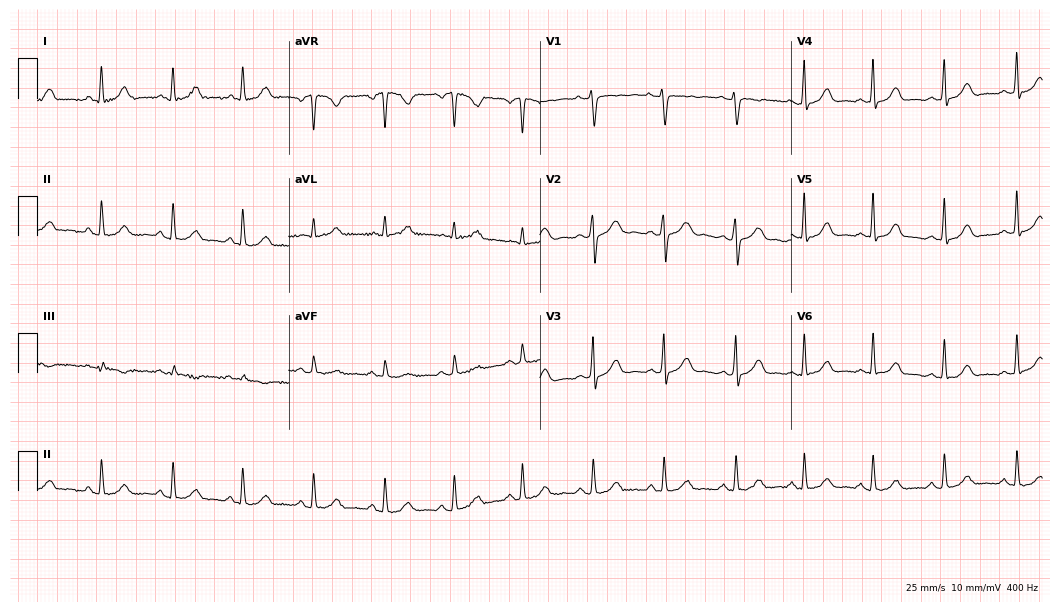
Resting 12-lead electrocardiogram (10.2-second recording at 400 Hz). Patient: a female, 19 years old. Read as a normal ECG.